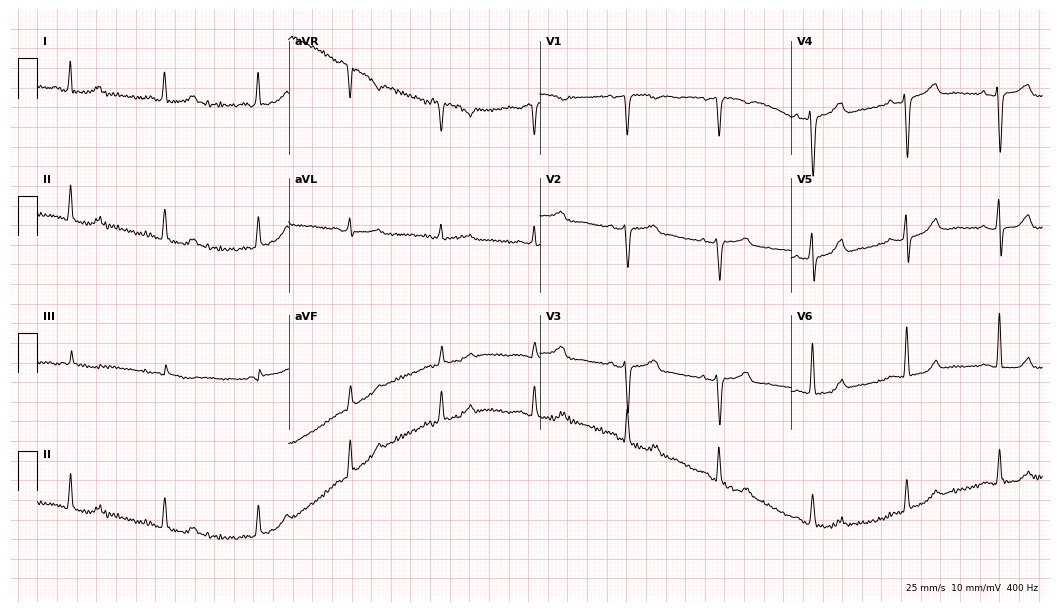
ECG (10.2-second recording at 400 Hz) — a female, 53 years old. Labelled as a normal ECG.